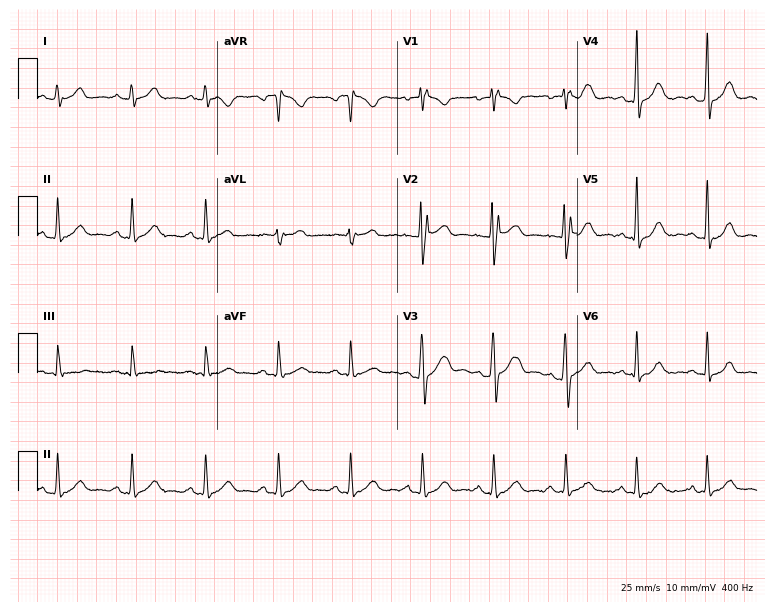
12-lead ECG (7.3-second recording at 400 Hz) from a 44-year-old male patient. Labelled as a normal ECG.